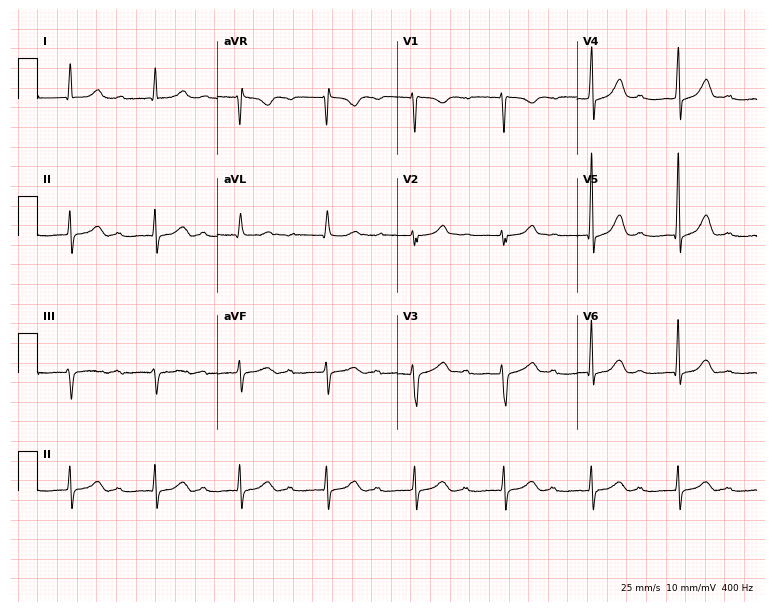
12-lead ECG from a female, 74 years old (7.3-second recording at 400 Hz). Shows first-degree AV block.